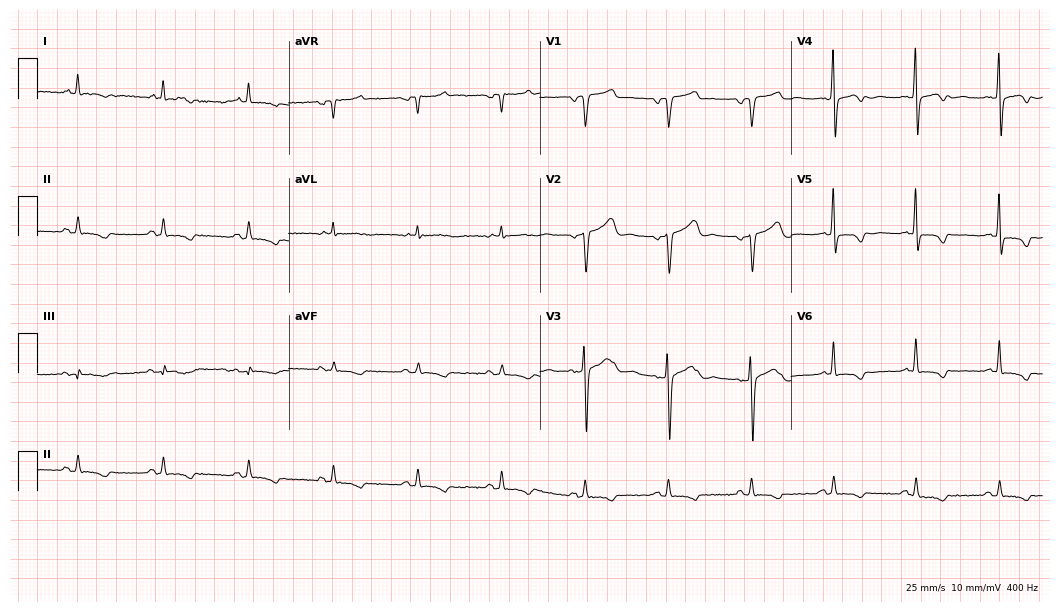
Standard 12-lead ECG recorded from a male patient, 77 years old. None of these six findings is recorded: first-degree AV block, right bundle branch block (RBBB), left bundle branch block (LBBB), sinus bradycardia, atrial fibrillation (AF), sinus tachycardia.